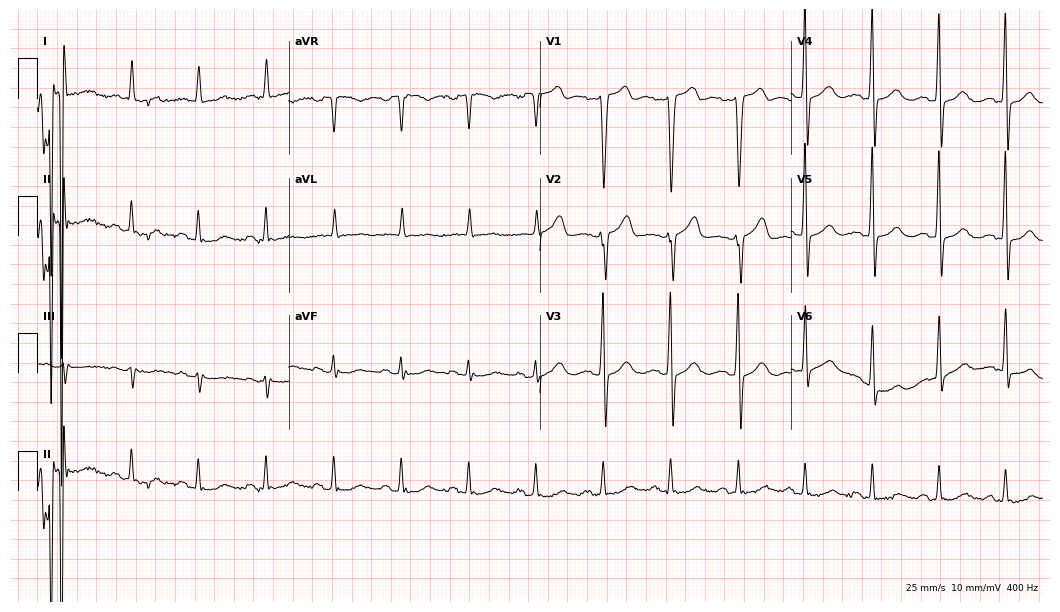
Standard 12-lead ECG recorded from a 66-year-old man. Read as a normal ECG.